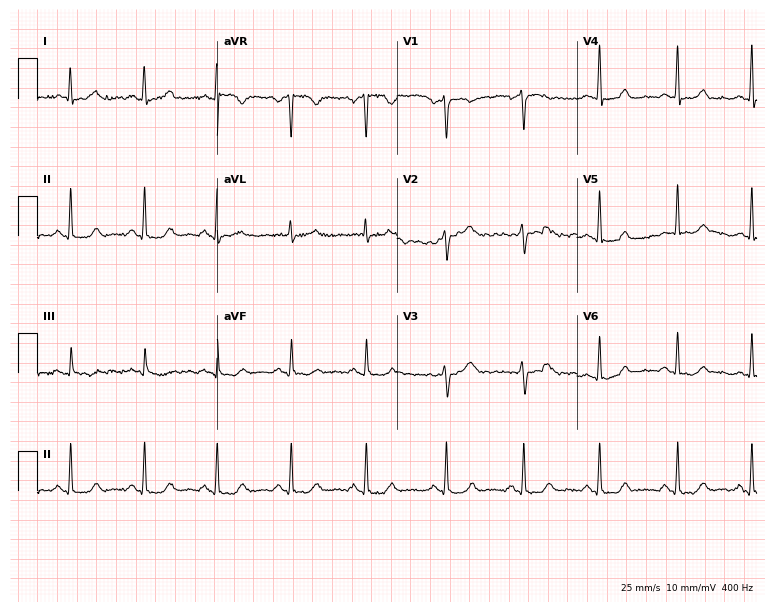
Standard 12-lead ECG recorded from a 47-year-old female. Read as a normal ECG.